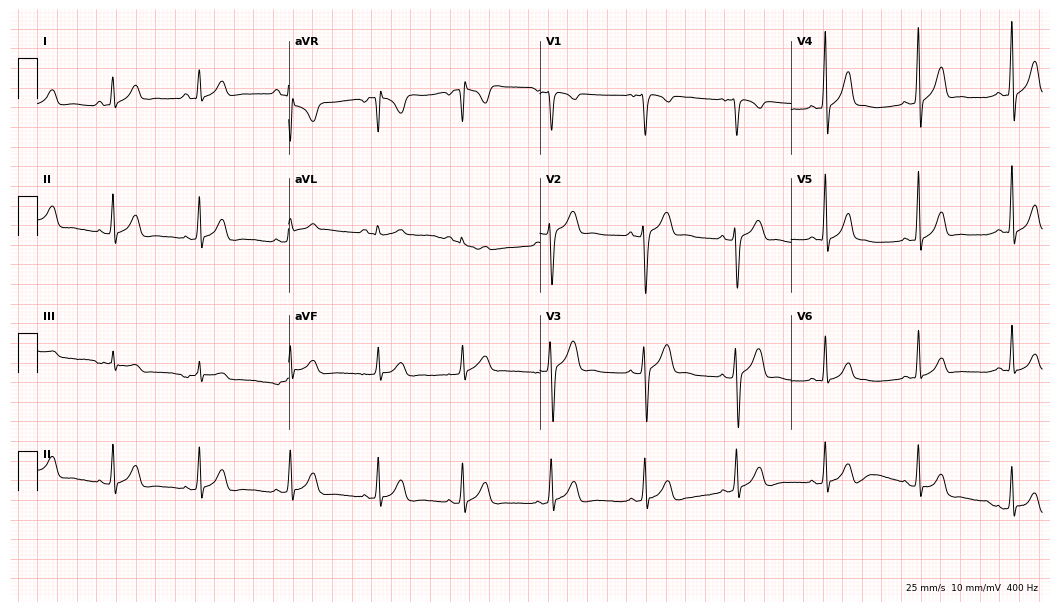
Standard 12-lead ECG recorded from a male patient, 18 years old. Read as a normal ECG.